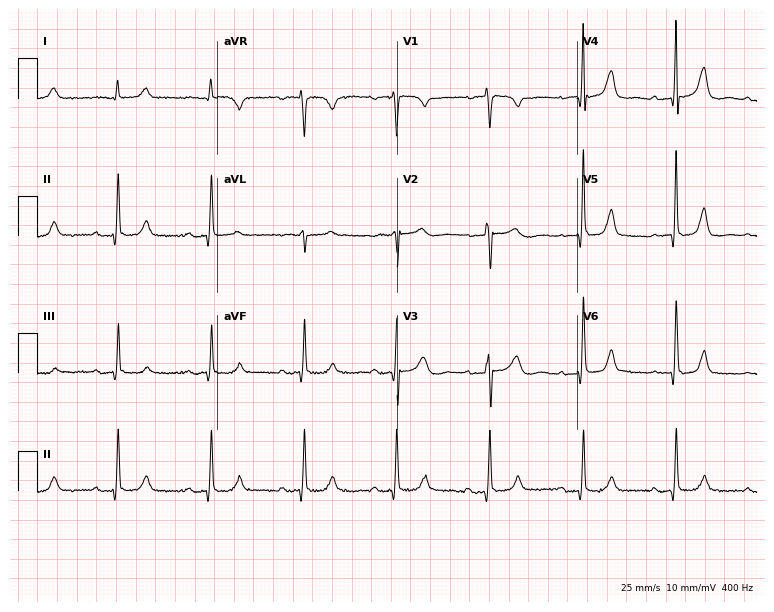
Electrocardiogram, an 83-year-old female patient. Of the six screened findings (first-degree AV block, right bundle branch block (RBBB), left bundle branch block (LBBB), sinus bradycardia, atrial fibrillation (AF), sinus tachycardia), none is recorded.